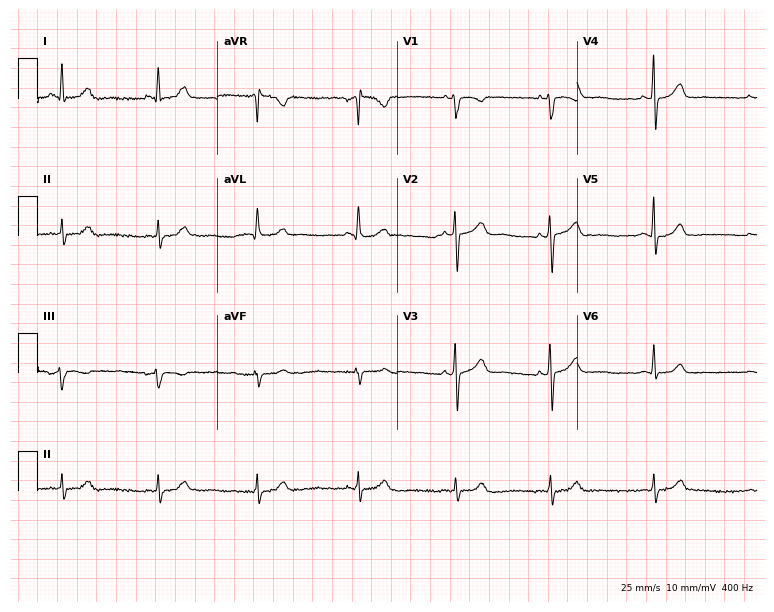
ECG (7.3-second recording at 400 Hz) — a 34-year-old woman. Screened for six findings — first-degree AV block, right bundle branch block, left bundle branch block, sinus bradycardia, atrial fibrillation, sinus tachycardia — none is recorded. Other findings, if any, are not listed.